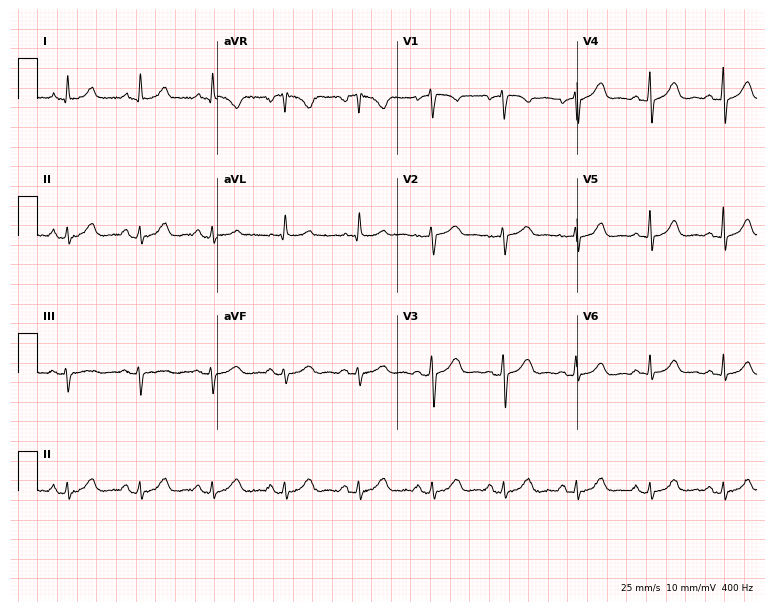
Electrocardiogram, a 54-year-old female patient. Overall reading on record: normal ECG.